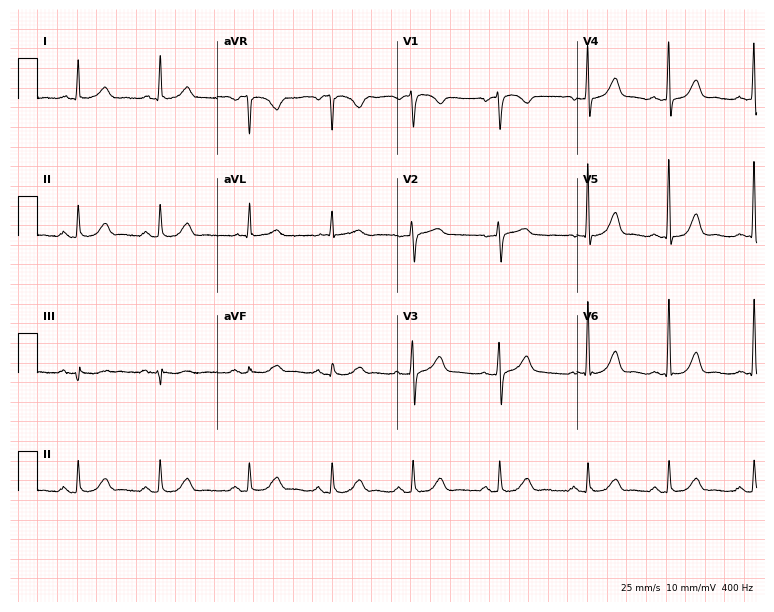
Electrocardiogram, a female, 58 years old. Overall reading on record: normal ECG.